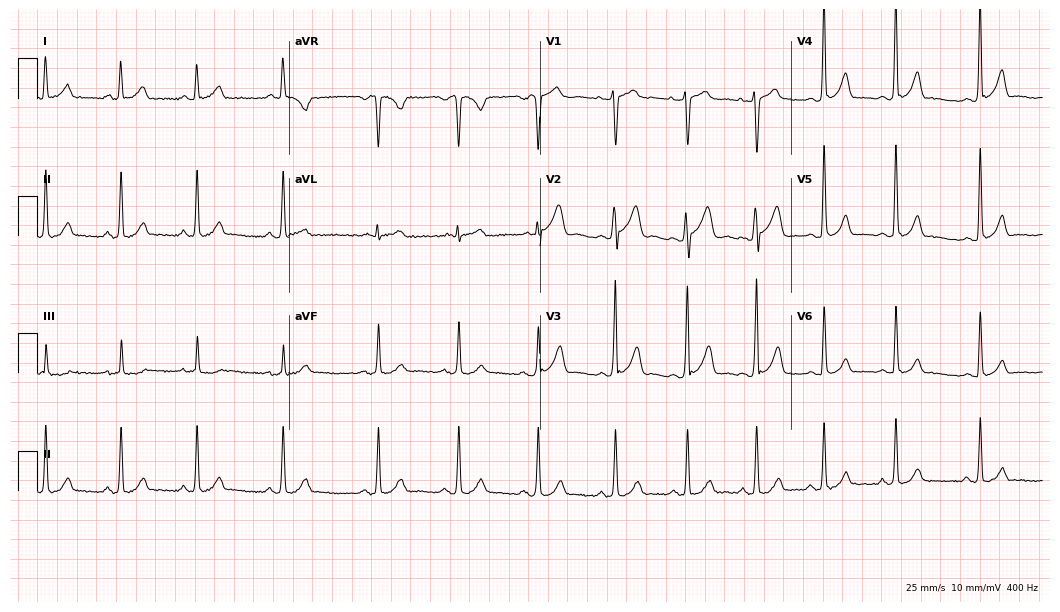
Resting 12-lead electrocardiogram. Patient: a 20-year-old male. None of these six findings is recorded: first-degree AV block, right bundle branch block (RBBB), left bundle branch block (LBBB), sinus bradycardia, atrial fibrillation (AF), sinus tachycardia.